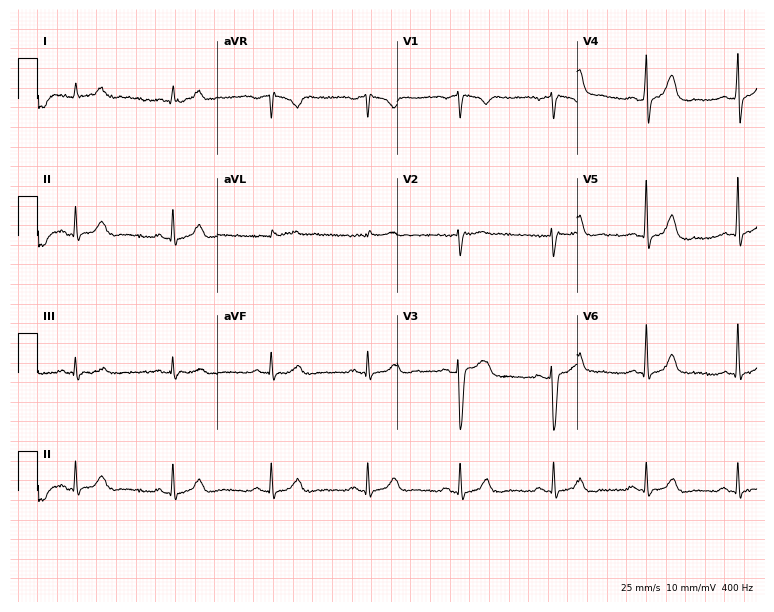
12-lead ECG from a male patient, 61 years old. Recorded interpretation: within normal limits.